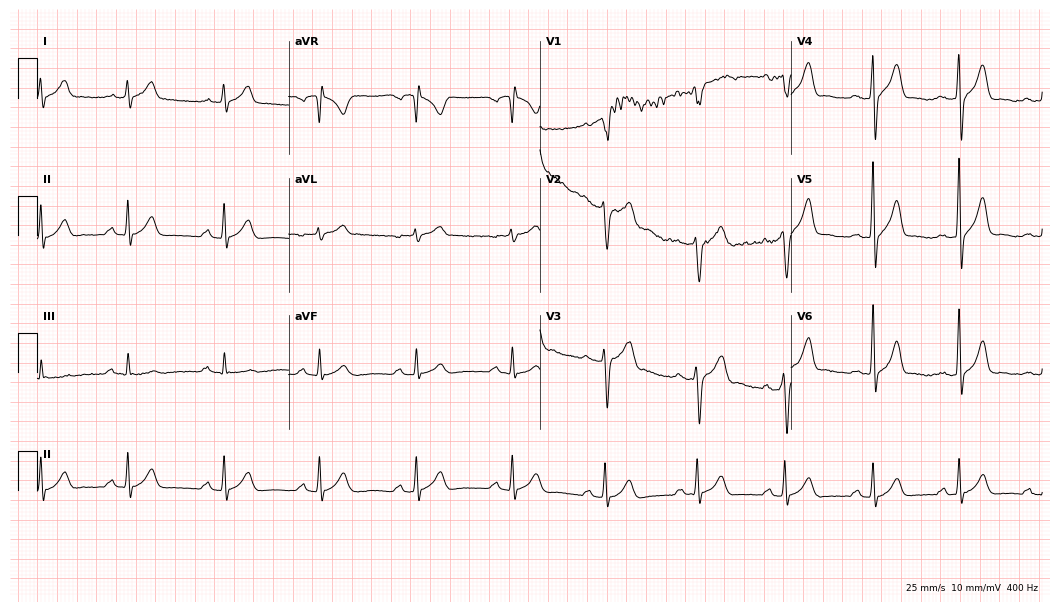
12-lead ECG from a male patient, 33 years old (10.2-second recording at 400 Hz). Recorded interpretation: within normal limits.